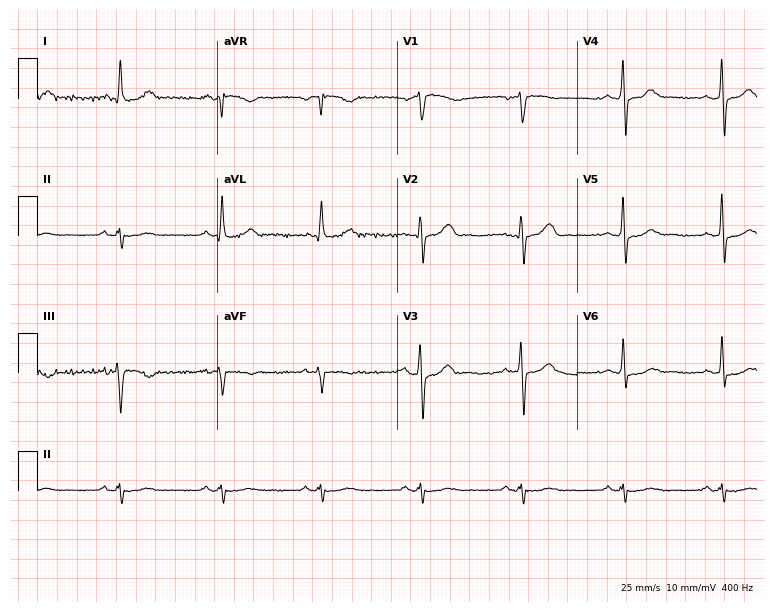
12-lead ECG from a man, 63 years old. Screened for six findings — first-degree AV block, right bundle branch block, left bundle branch block, sinus bradycardia, atrial fibrillation, sinus tachycardia — none is recorded. Findings outside these six are not listed.